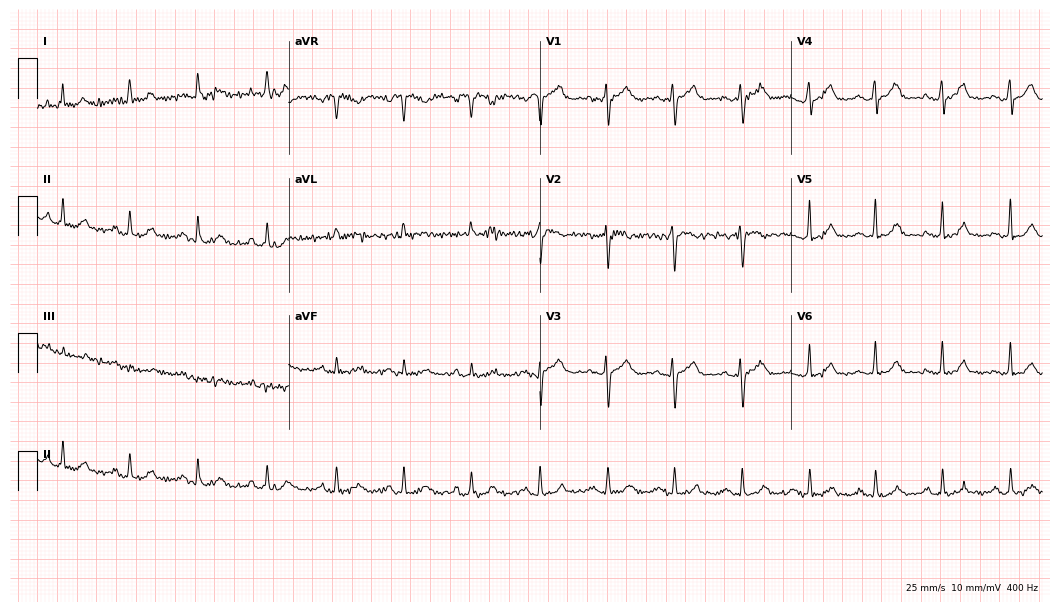
Electrocardiogram (10.2-second recording at 400 Hz), a 54-year-old woman. Overall reading on record: normal ECG.